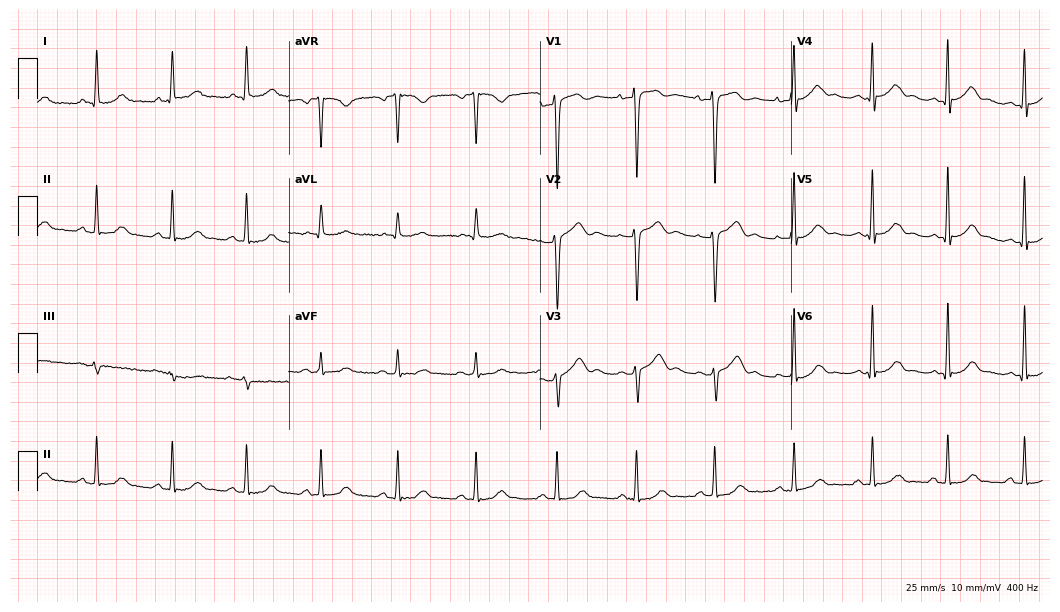
ECG — a 40-year-old female patient. Screened for six findings — first-degree AV block, right bundle branch block, left bundle branch block, sinus bradycardia, atrial fibrillation, sinus tachycardia — none is recorded.